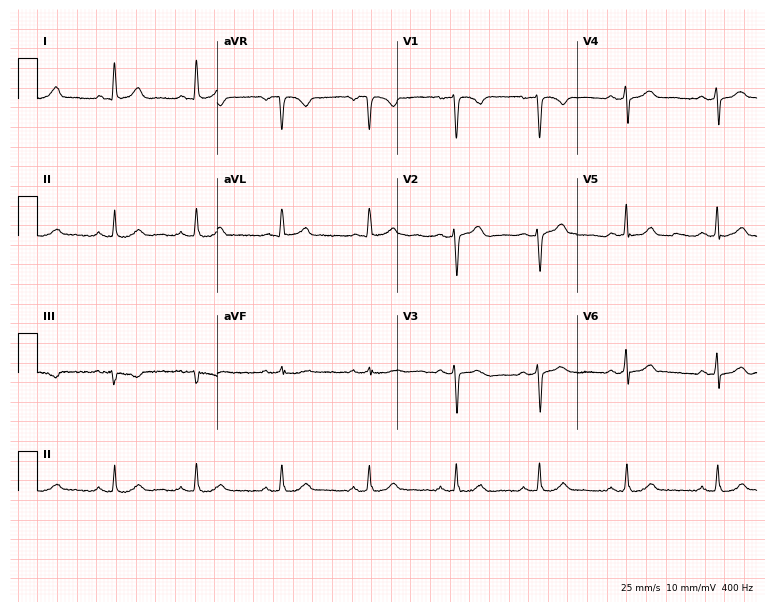
Resting 12-lead electrocardiogram (7.3-second recording at 400 Hz). Patient: a 44-year-old female. Read as a normal ECG.